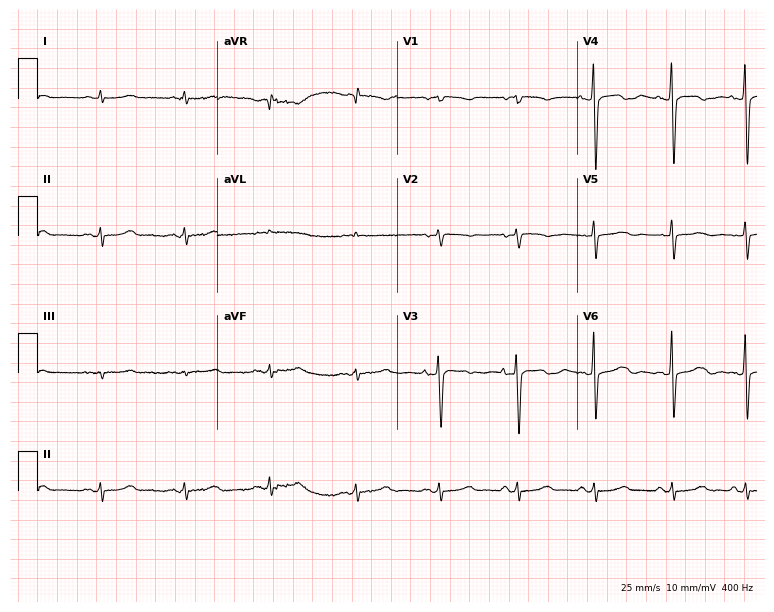
ECG (7.3-second recording at 400 Hz) — a male patient, 66 years old. Screened for six findings — first-degree AV block, right bundle branch block (RBBB), left bundle branch block (LBBB), sinus bradycardia, atrial fibrillation (AF), sinus tachycardia — none is recorded. Findings outside these six are not listed.